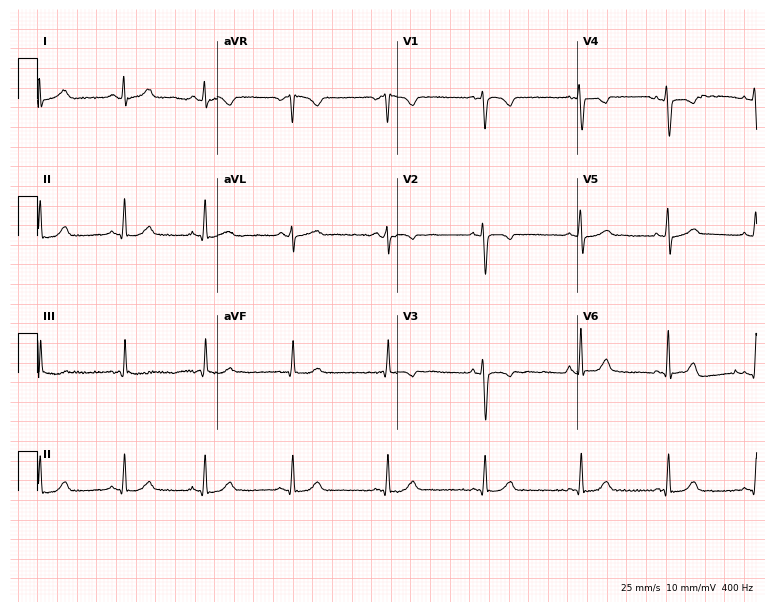
ECG — a 24-year-old female patient. Screened for six findings — first-degree AV block, right bundle branch block (RBBB), left bundle branch block (LBBB), sinus bradycardia, atrial fibrillation (AF), sinus tachycardia — none is recorded.